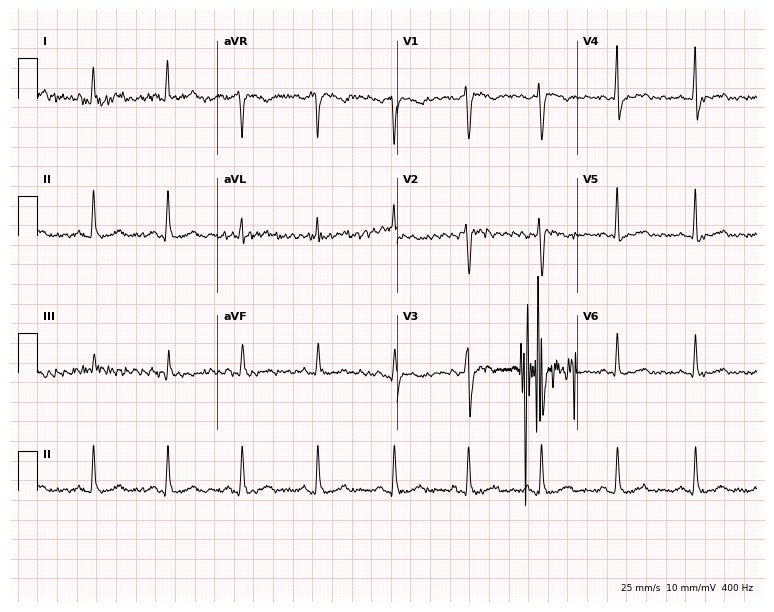
12-lead ECG from a 38-year-old female patient (7.3-second recording at 400 Hz). No first-degree AV block, right bundle branch block, left bundle branch block, sinus bradycardia, atrial fibrillation or sinus tachycardia recorded for this tracing. Only these six findings were labelled.